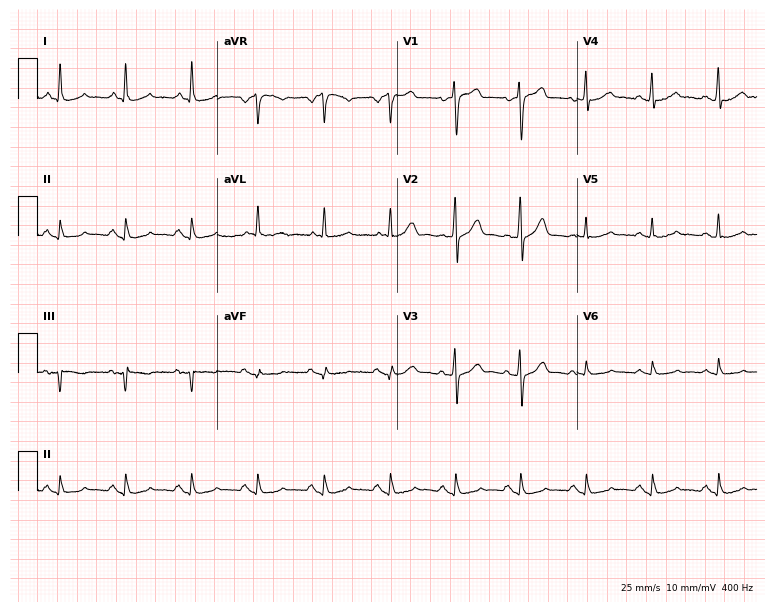
ECG (7.3-second recording at 400 Hz) — a 76-year-old male patient. Labelled as a normal ECG.